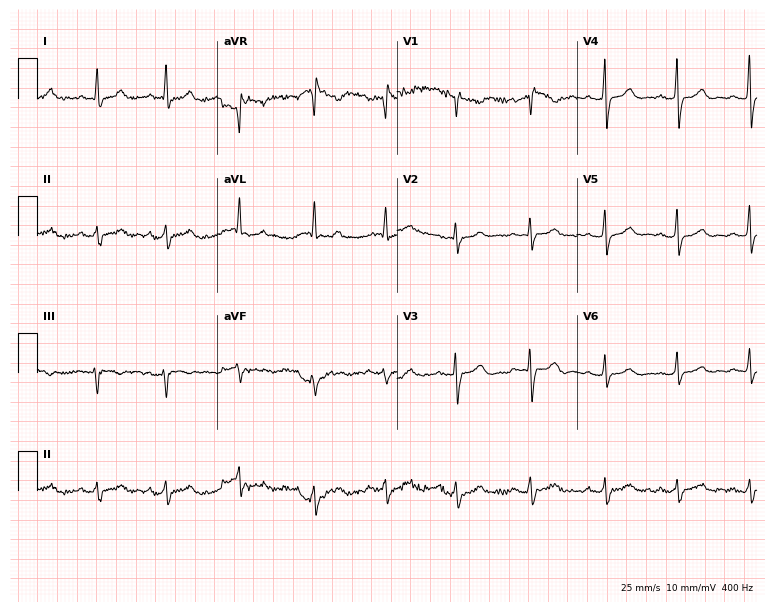
12-lead ECG from a woman, 40 years old (7.3-second recording at 400 Hz). Recorded interpretation: within normal limits.